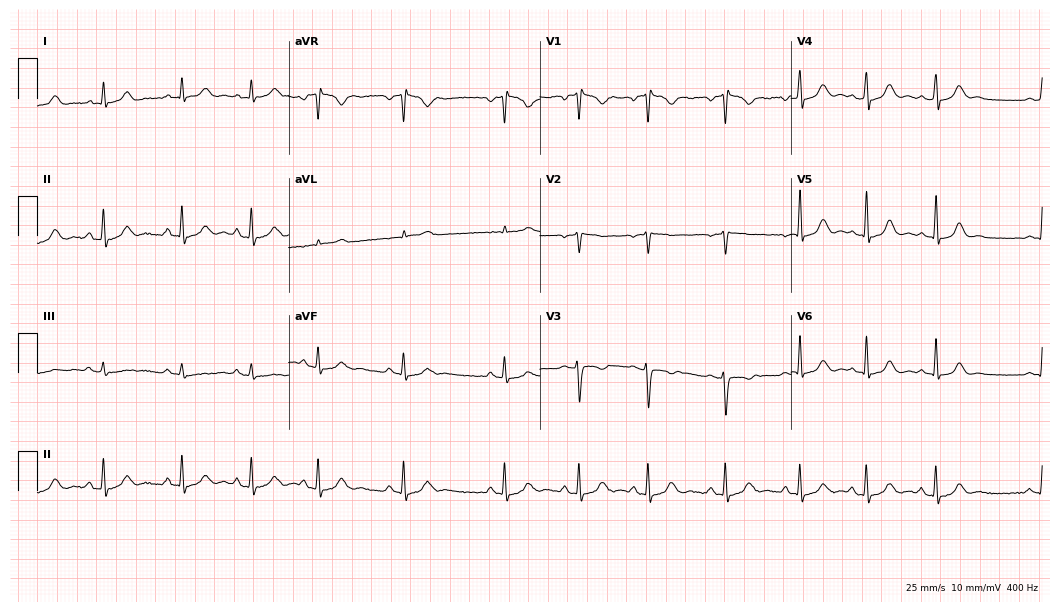
ECG — a female, 22 years old. Labelled as a normal ECG.